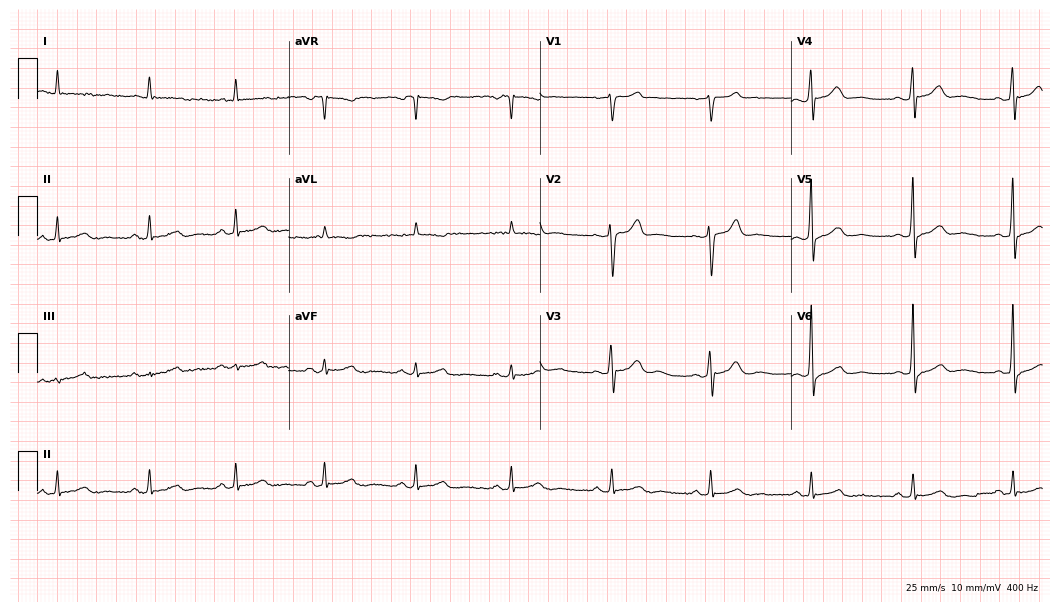
12-lead ECG from a 61-year-old man. Recorded interpretation: within normal limits.